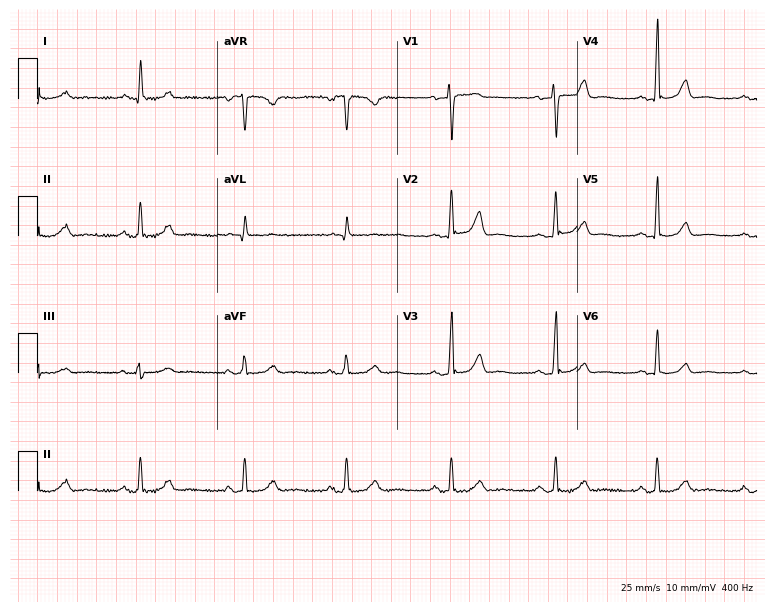
Electrocardiogram (7.3-second recording at 400 Hz), a 50-year-old female. Overall reading on record: normal ECG.